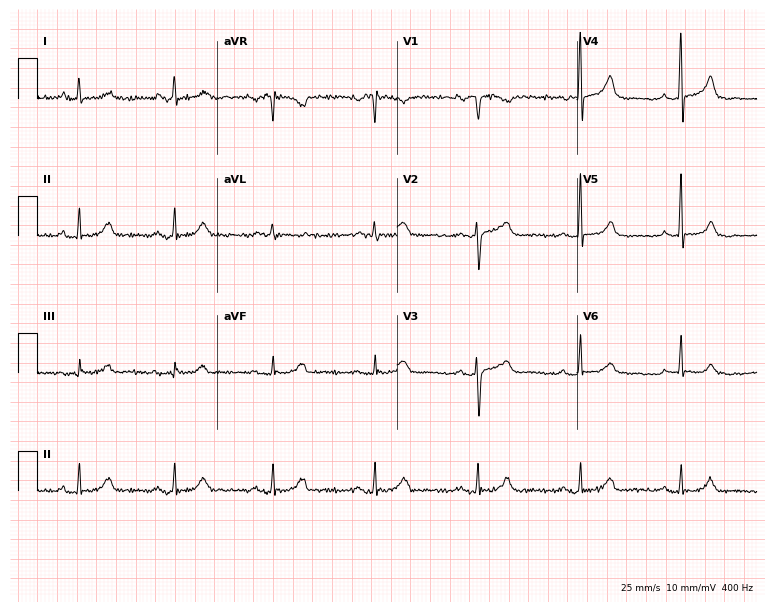
Resting 12-lead electrocardiogram (7.3-second recording at 400 Hz). Patient: a 65-year-old female. Read as a normal ECG.